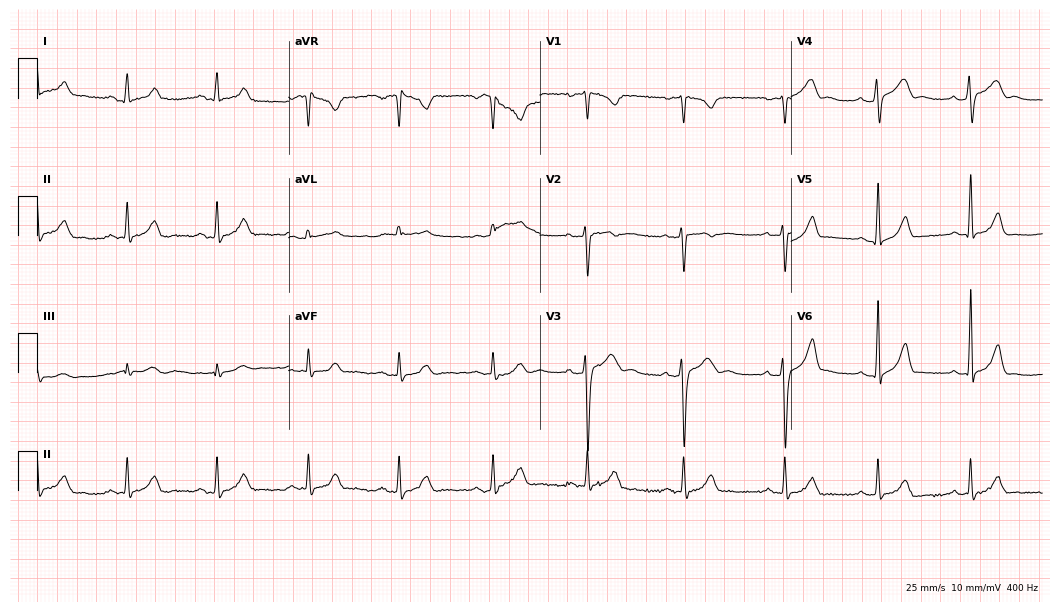
12-lead ECG from a woman, 24 years old. Labelled as a normal ECG.